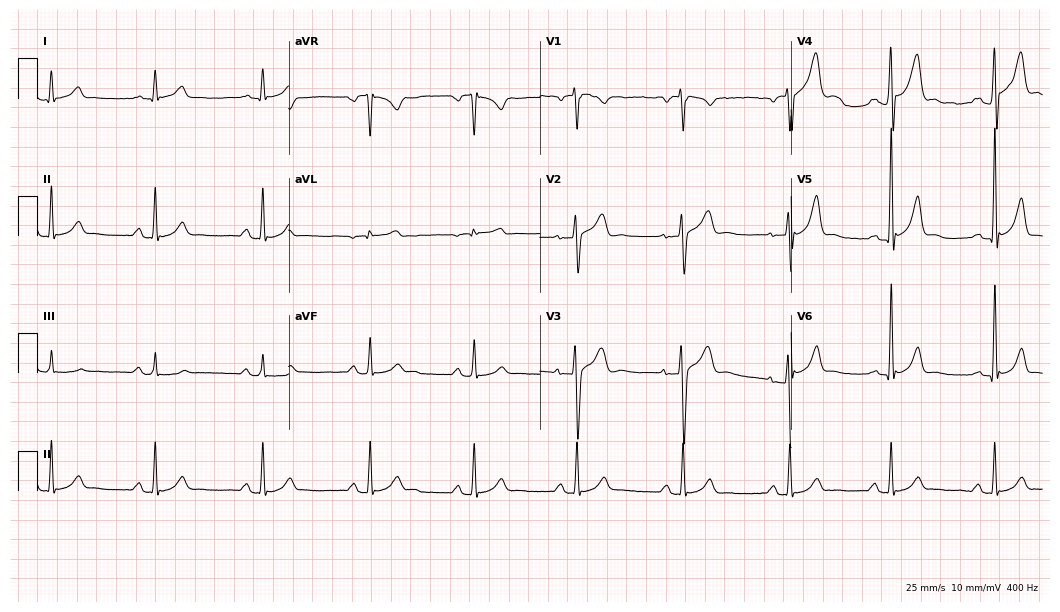
Resting 12-lead electrocardiogram (10.2-second recording at 400 Hz). Patient: a 36-year-old man. None of these six findings is recorded: first-degree AV block, right bundle branch block, left bundle branch block, sinus bradycardia, atrial fibrillation, sinus tachycardia. Only these six findings were labelled.